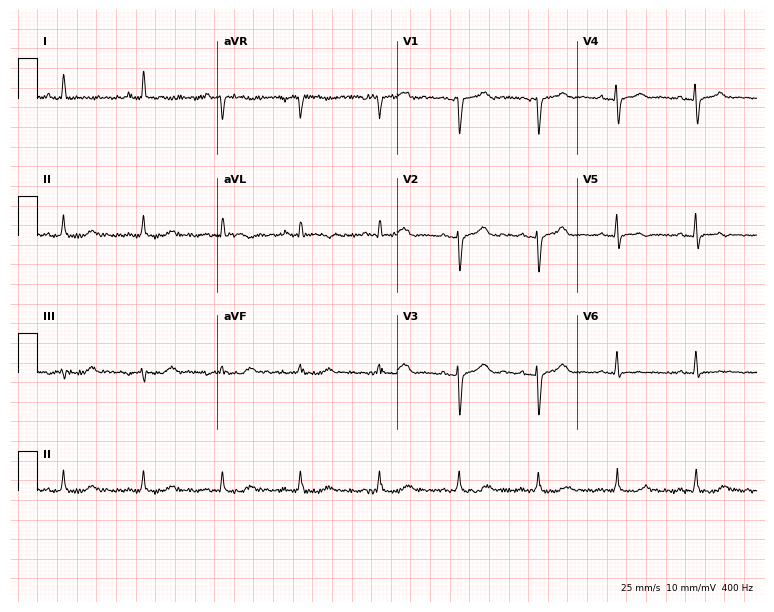
Standard 12-lead ECG recorded from a 62-year-old woman (7.3-second recording at 400 Hz). None of these six findings is recorded: first-degree AV block, right bundle branch block, left bundle branch block, sinus bradycardia, atrial fibrillation, sinus tachycardia. Findings outside these six are not listed.